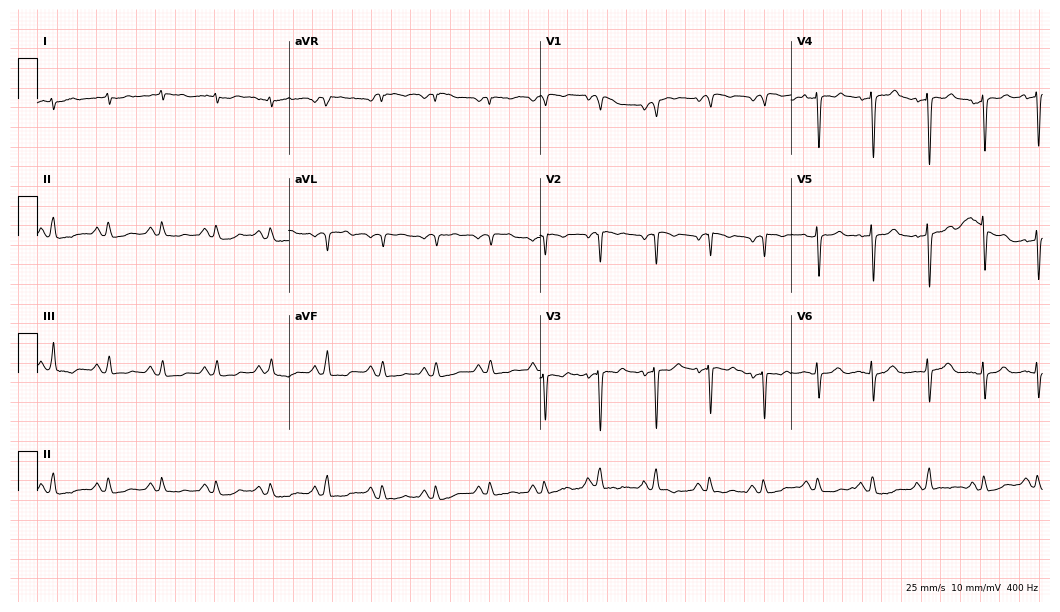
Resting 12-lead electrocardiogram. Patient: a male, 65 years old. The tracing shows sinus tachycardia (a sinus rate of 100 beats per minute or more).